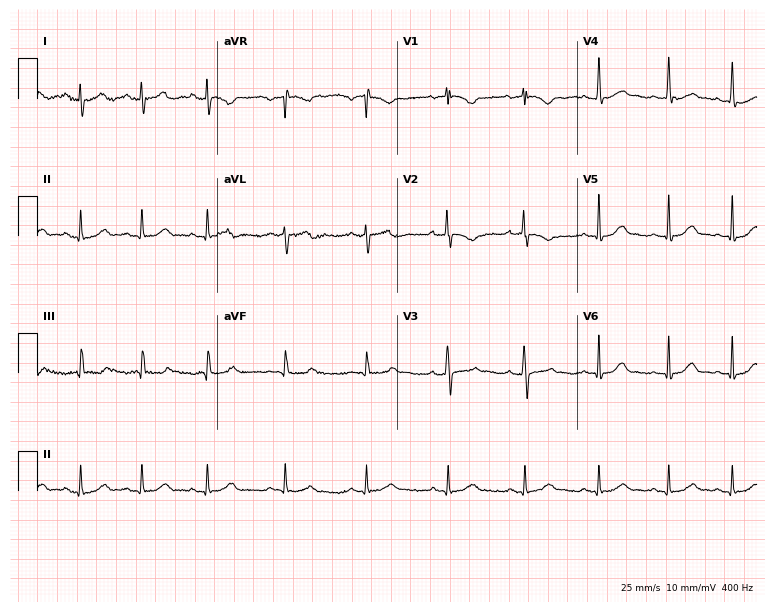
12-lead ECG from a female, 19 years old. Recorded interpretation: within normal limits.